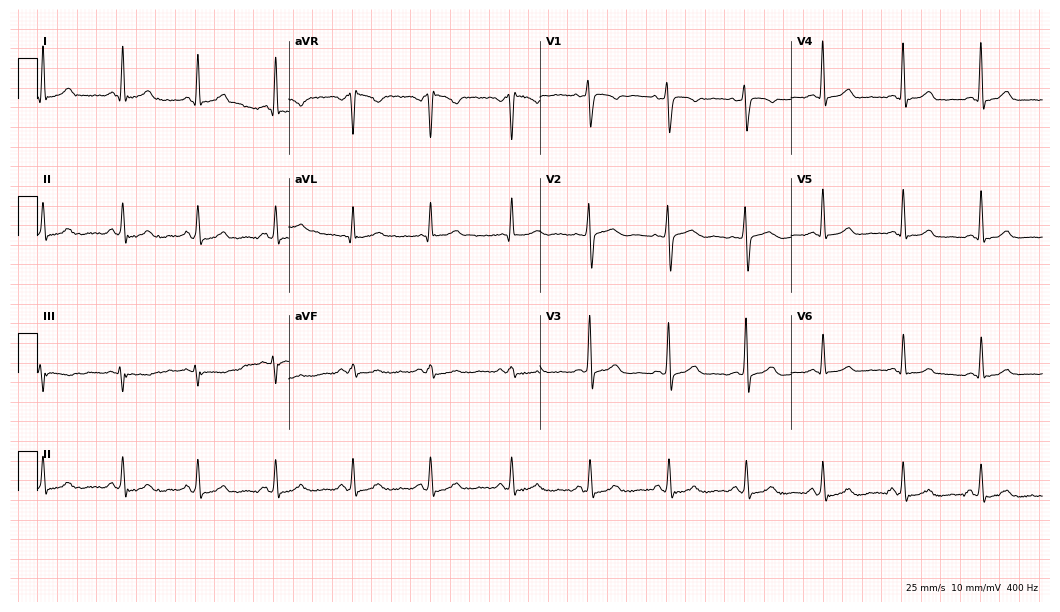
Resting 12-lead electrocardiogram. Patient: a female, 38 years old. Read as a normal ECG.